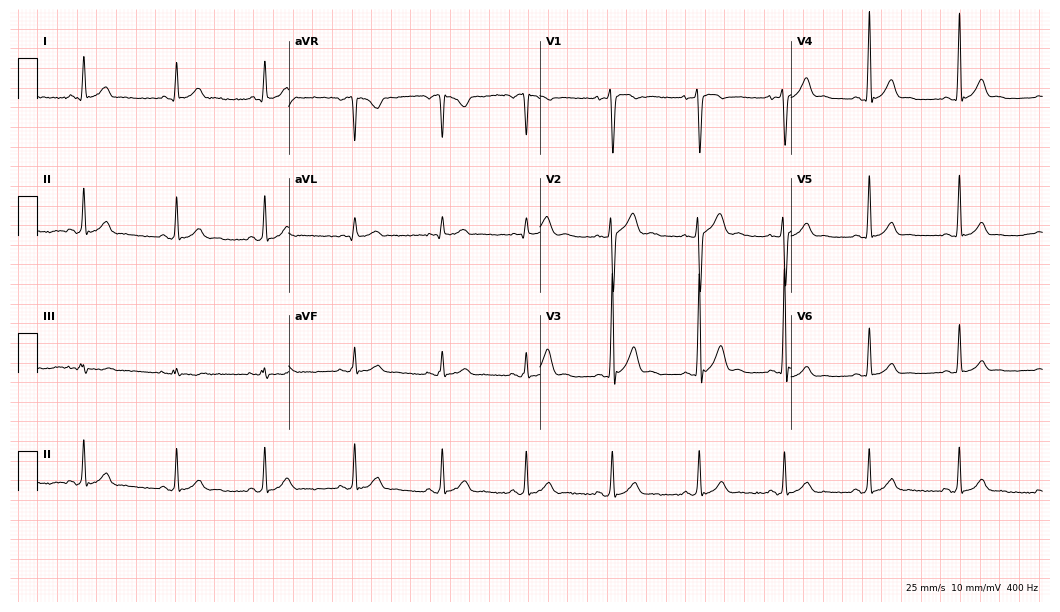
Standard 12-lead ECG recorded from a man, 22 years old (10.2-second recording at 400 Hz). Read as a normal ECG.